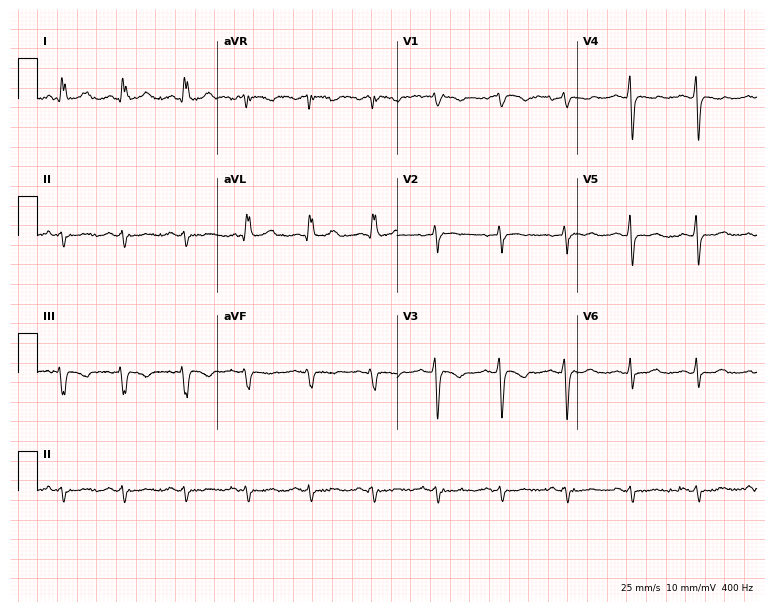
12-lead ECG from a female patient, 58 years old (7.3-second recording at 400 Hz). No first-degree AV block, right bundle branch block, left bundle branch block, sinus bradycardia, atrial fibrillation or sinus tachycardia recorded for this tracing.